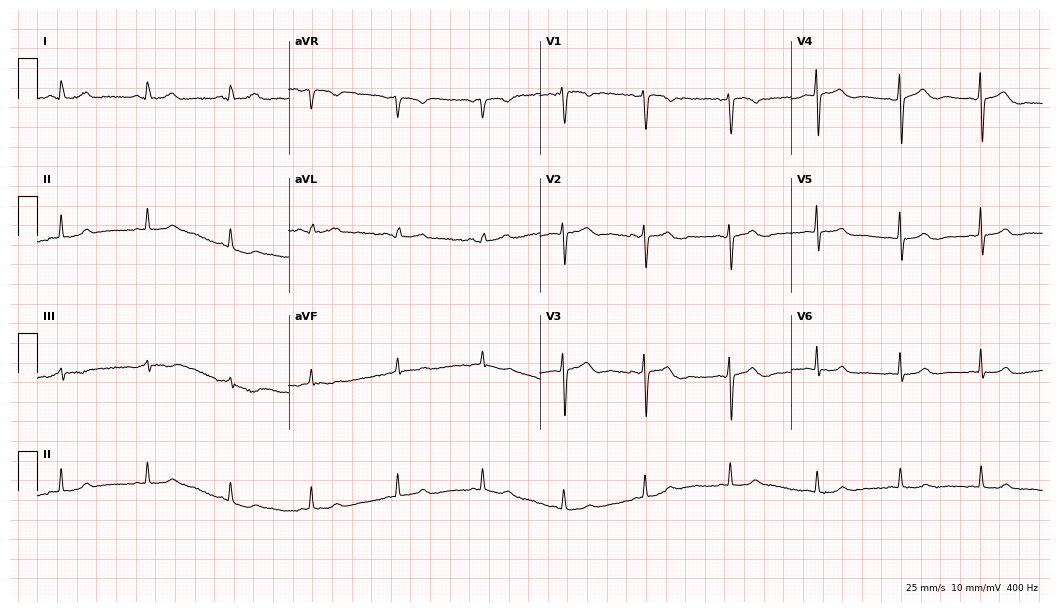
12-lead ECG from a 29-year-old female patient. Labelled as a normal ECG.